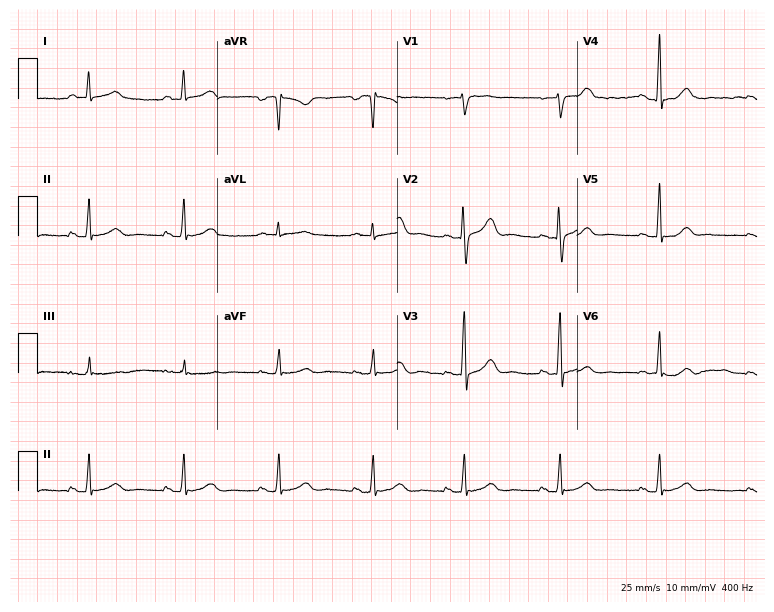
ECG — a 55-year-old female. Screened for six findings — first-degree AV block, right bundle branch block, left bundle branch block, sinus bradycardia, atrial fibrillation, sinus tachycardia — none is recorded. Other findings, if any, are not listed.